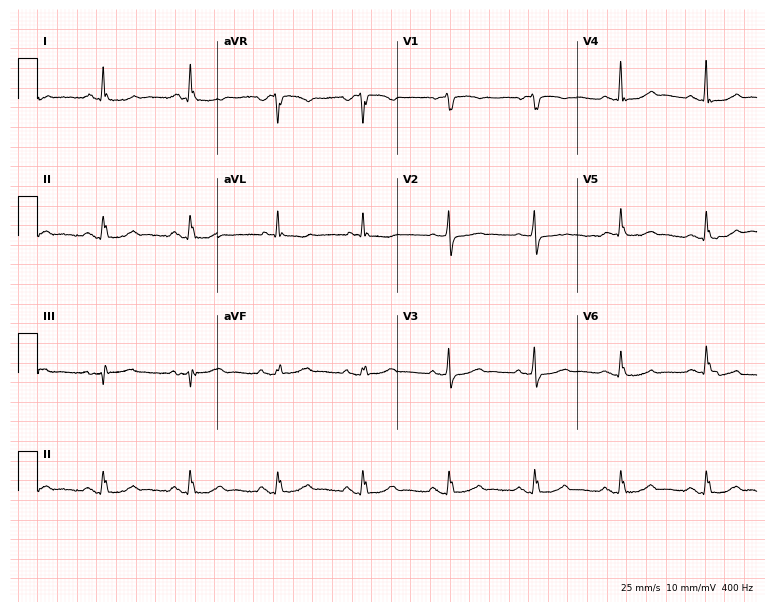
12-lead ECG (7.3-second recording at 400 Hz) from a woman, 28 years old. Screened for six findings — first-degree AV block, right bundle branch block, left bundle branch block, sinus bradycardia, atrial fibrillation, sinus tachycardia — none is recorded. Only these six findings were labelled.